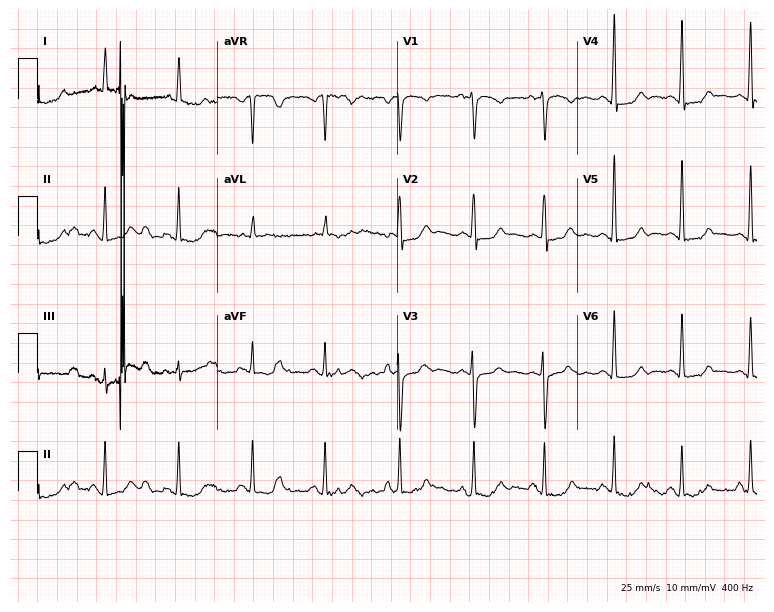
ECG (7.3-second recording at 400 Hz) — a 61-year-old female patient. Screened for six findings — first-degree AV block, right bundle branch block, left bundle branch block, sinus bradycardia, atrial fibrillation, sinus tachycardia — none is recorded.